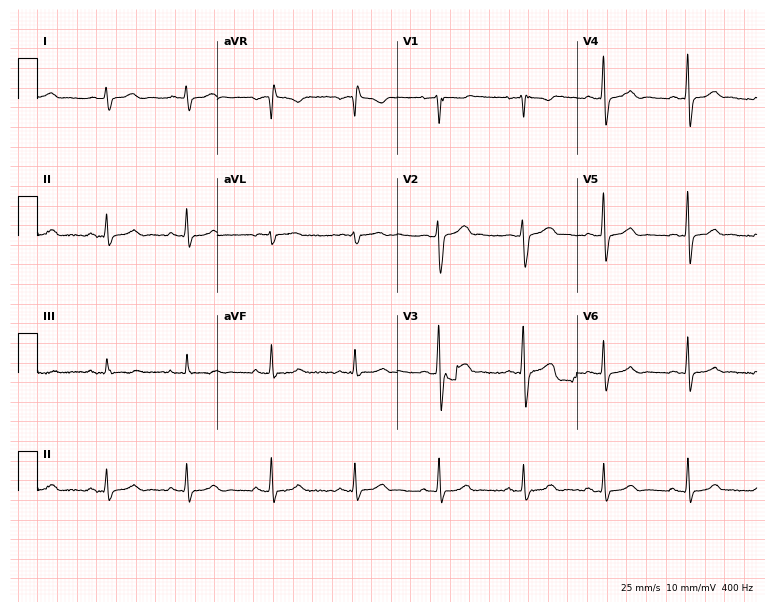
ECG — a man, 36 years old. Labelled as a normal ECG.